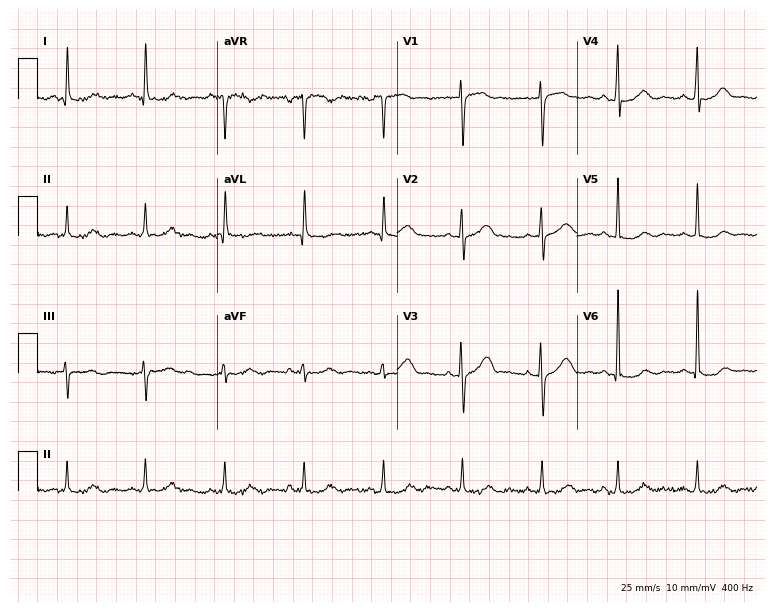
Resting 12-lead electrocardiogram (7.3-second recording at 400 Hz). Patient: a female, 60 years old. Read as a normal ECG.